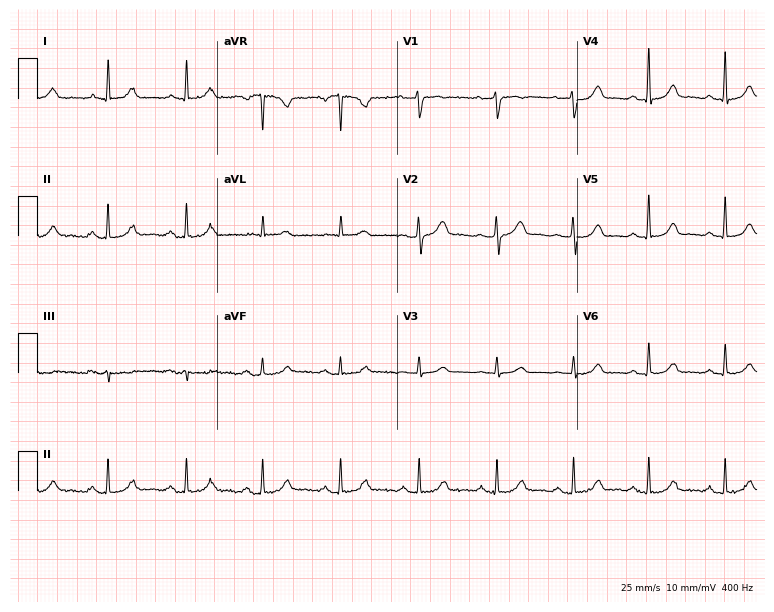
Resting 12-lead electrocardiogram. Patient: a female, 62 years old. Read as a normal ECG.